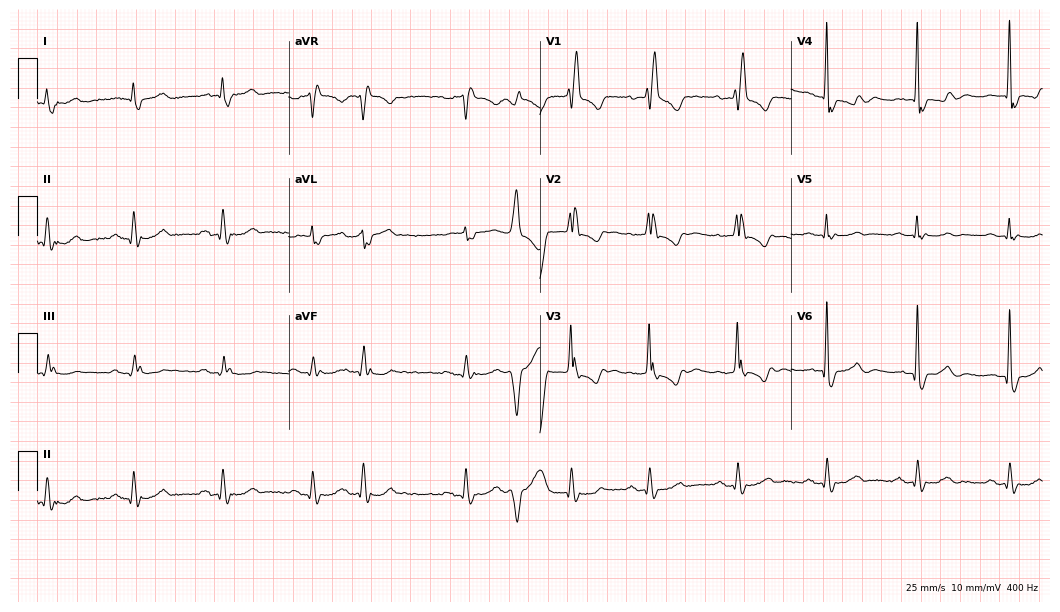
Resting 12-lead electrocardiogram (10.2-second recording at 400 Hz). Patient: an 80-year-old male. The tracing shows right bundle branch block (RBBB).